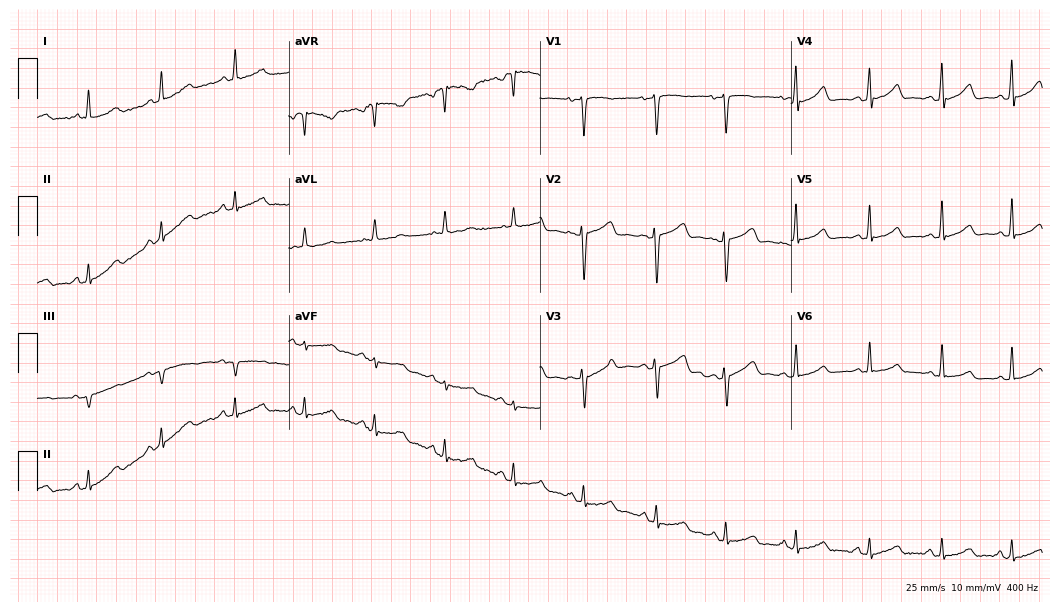
ECG (10.2-second recording at 400 Hz) — a female, 42 years old. Labelled as a normal ECG.